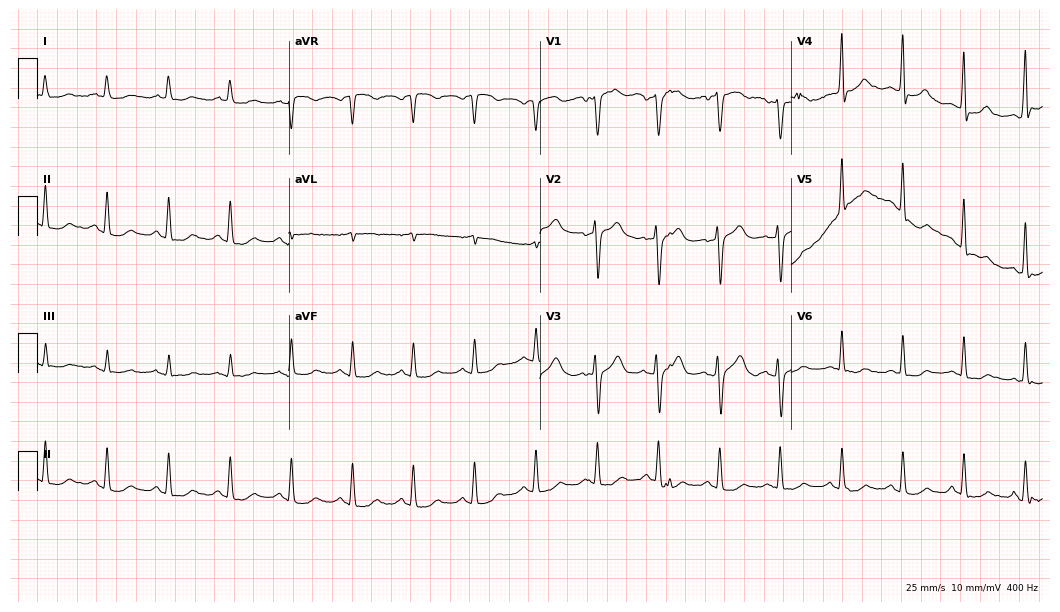
Electrocardiogram, a male, 74 years old. Of the six screened findings (first-degree AV block, right bundle branch block (RBBB), left bundle branch block (LBBB), sinus bradycardia, atrial fibrillation (AF), sinus tachycardia), none is recorded. Only these six findings were labelled.